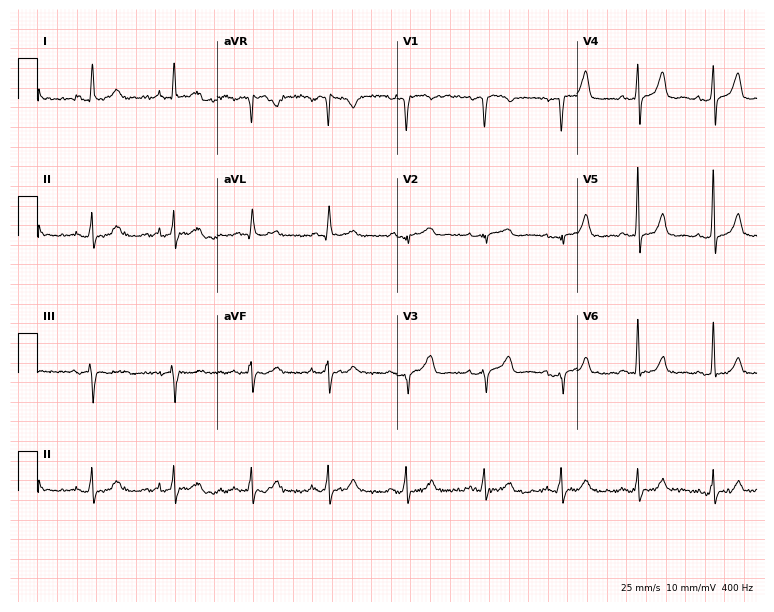
Electrocardiogram (7.3-second recording at 400 Hz), a 49-year-old female patient. Of the six screened findings (first-degree AV block, right bundle branch block, left bundle branch block, sinus bradycardia, atrial fibrillation, sinus tachycardia), none is recorded. Other findings, if any, are not listed.